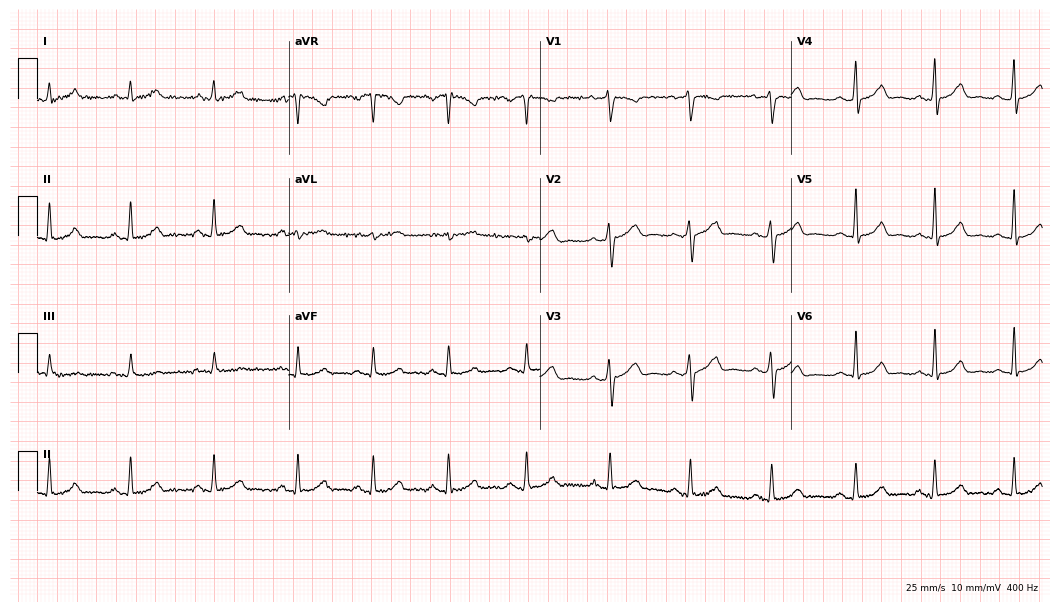
12-lead ECG from a female patient, 34 years old (10.2-second recording at 400 Hz). Recorded interpretation: within normal limits.